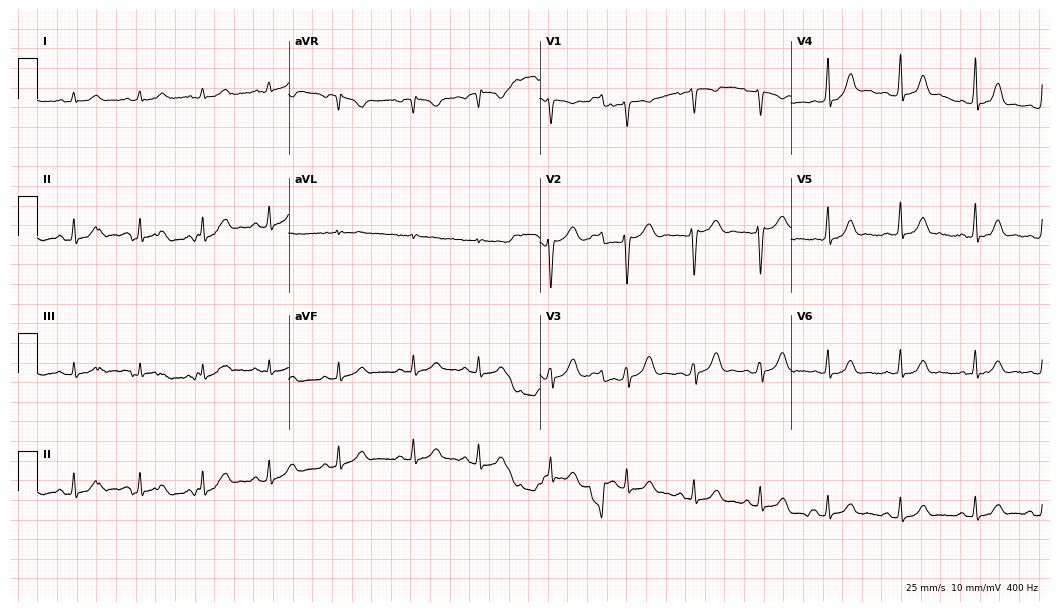
12-lead ECG from a woman, 29 years old. Recorded interpretation: within normal limits.